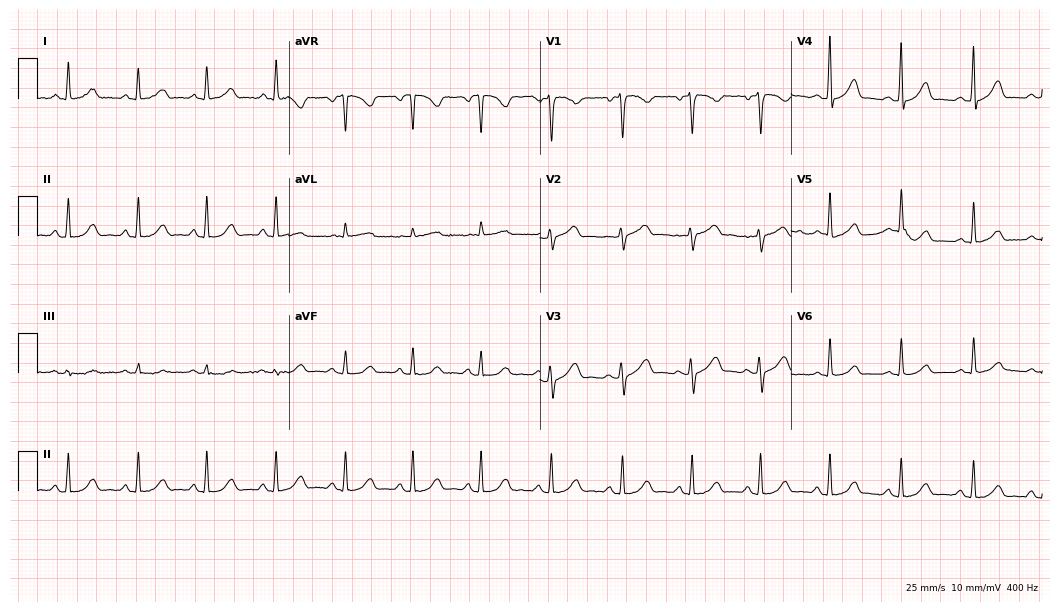
12-lead ECG from a woman, 44 years old. Screened for six findings — first-degree AV block, right bundle branch block, left bundle branch block, sinus bradycardia, atrial fibrillation, sinus tachycardia — none is recorded.